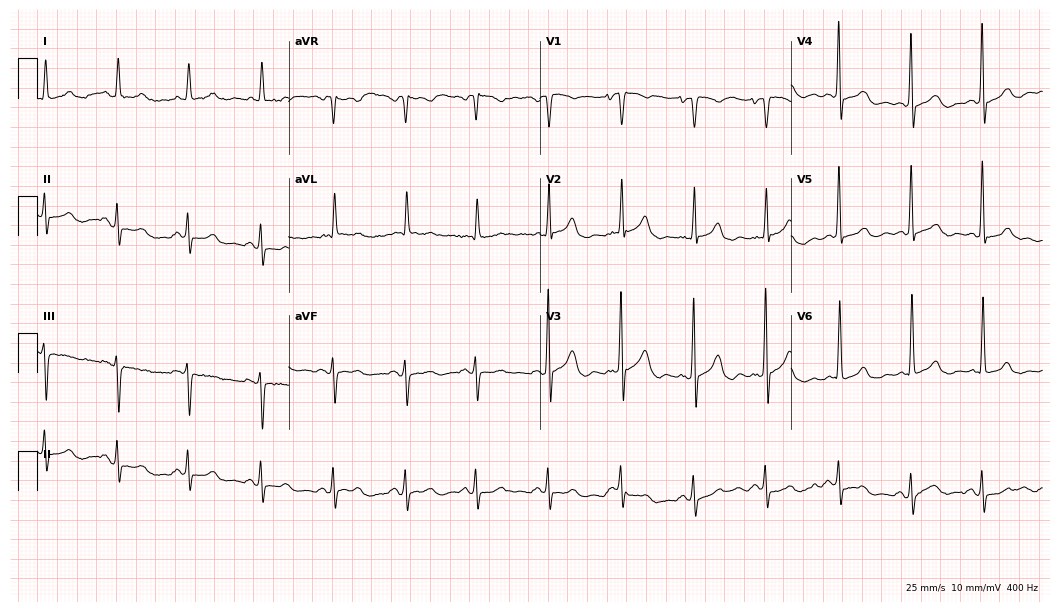
Electrocardiogram, a female patient, 73 years old. Of the six screened findings (first-degree AV block, right bundle branch block (RBBB), left bundle branch block (LBBB), sinus bradycardia, atrial fibrillation (AF), sinus tachycardia), none is recorded. Findings outside these six are not listed.